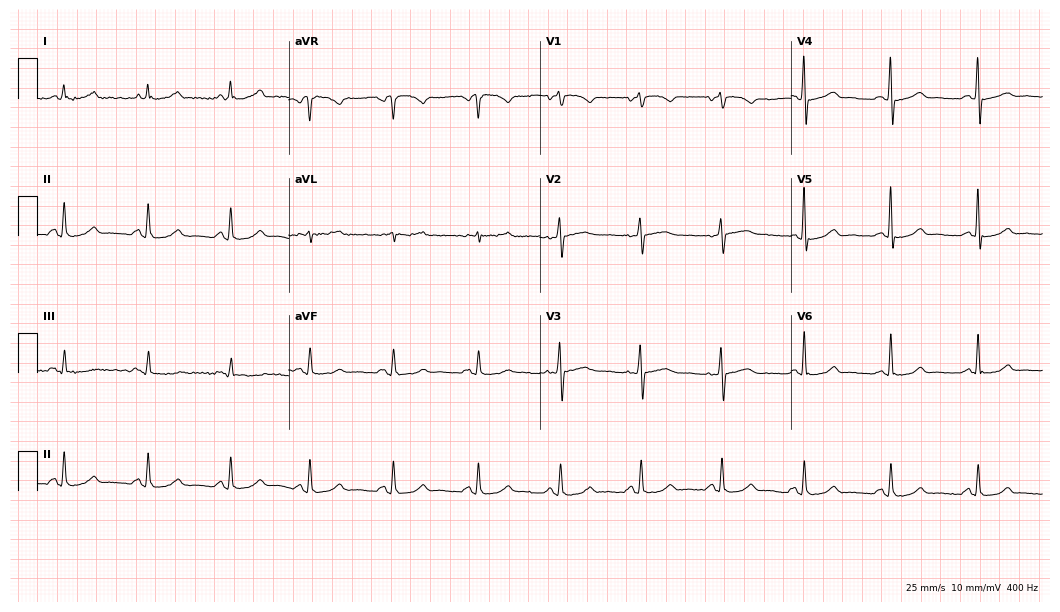
12-lead ECG from a female, 63 years old. Recorded interpretation: within normal limits.